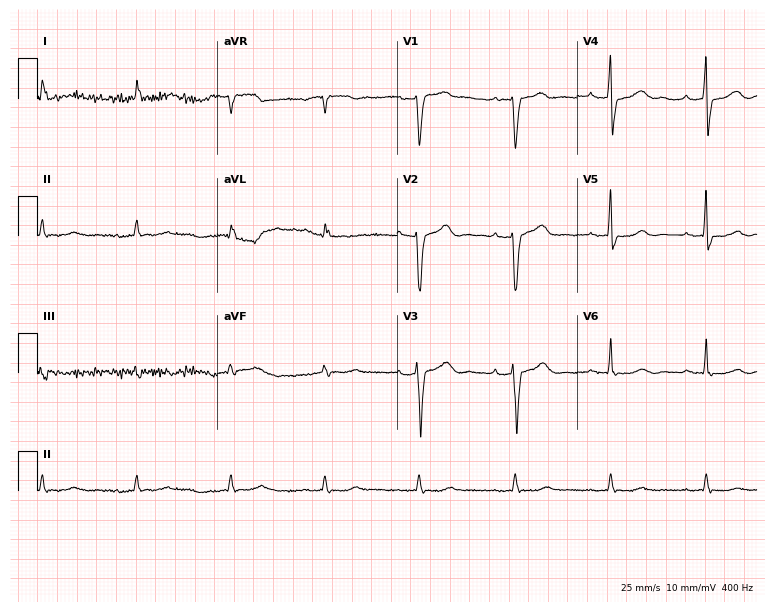
12-lead ECG from a man, 77 years old. No first-degree AV block, right bundle branch block, left bundle branch block, sinus bradycardia, atrial fibrillation or sinus tachycardia recorded for this tracing. Other findings, if any, are not listed.